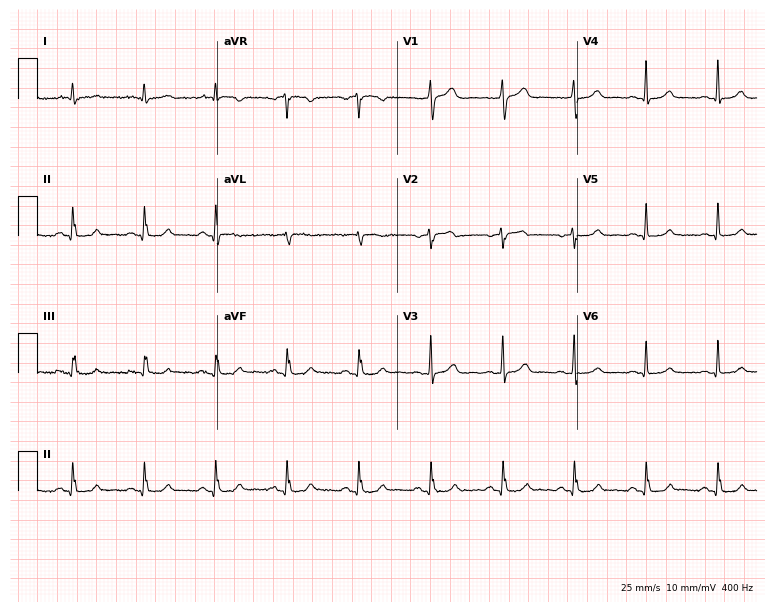
ECG — a 66-year-old male. Labelled as a normal ECG.